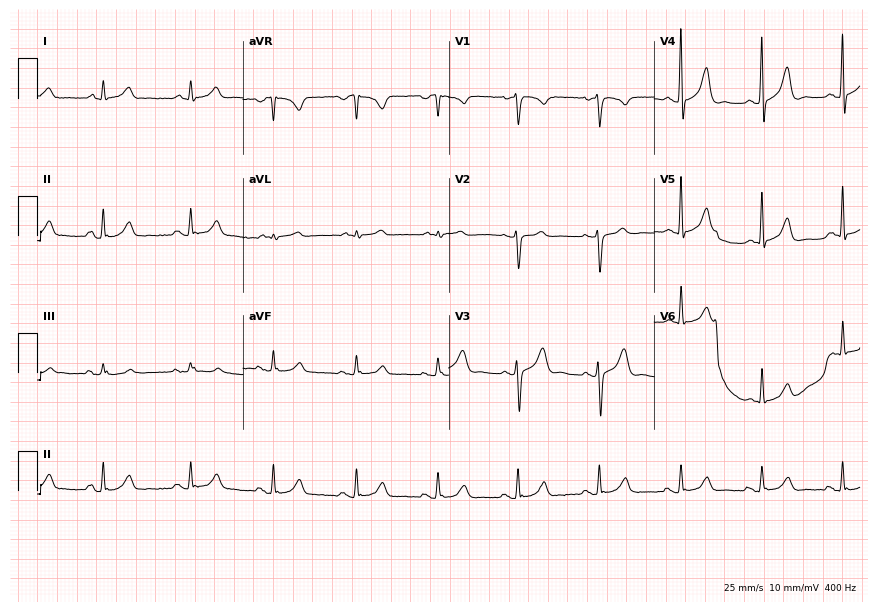
Resting 12-lead electrocardiogram (8.4-second recording at 400 Hz). Patient: a male, 37 years old. None of these six findings is recorded: first-degree AV block, right bundle branch block, left bundle branch block, sinus bradycardia, atrial fibrillation, sinus tachycardia.